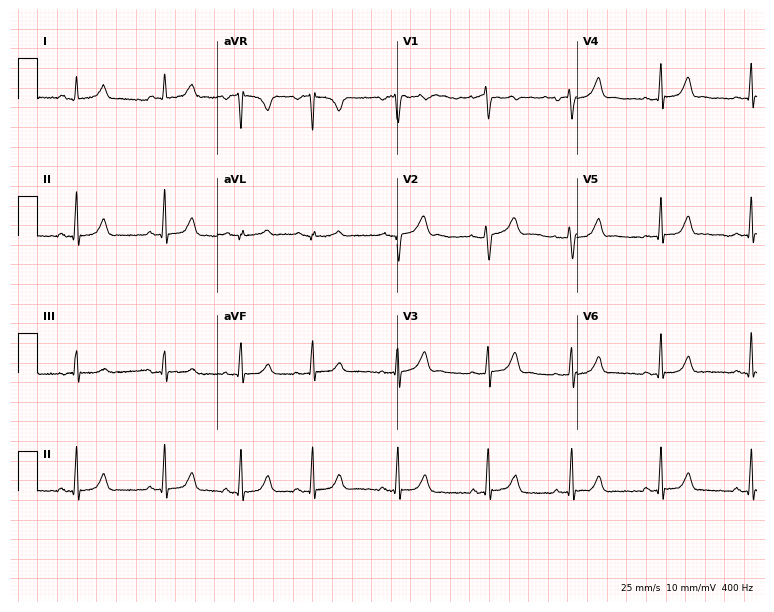
12-lead ECG (7.3-second recording at 400 Hz) from a female, 40 years old. Labelled as a normal ECG.